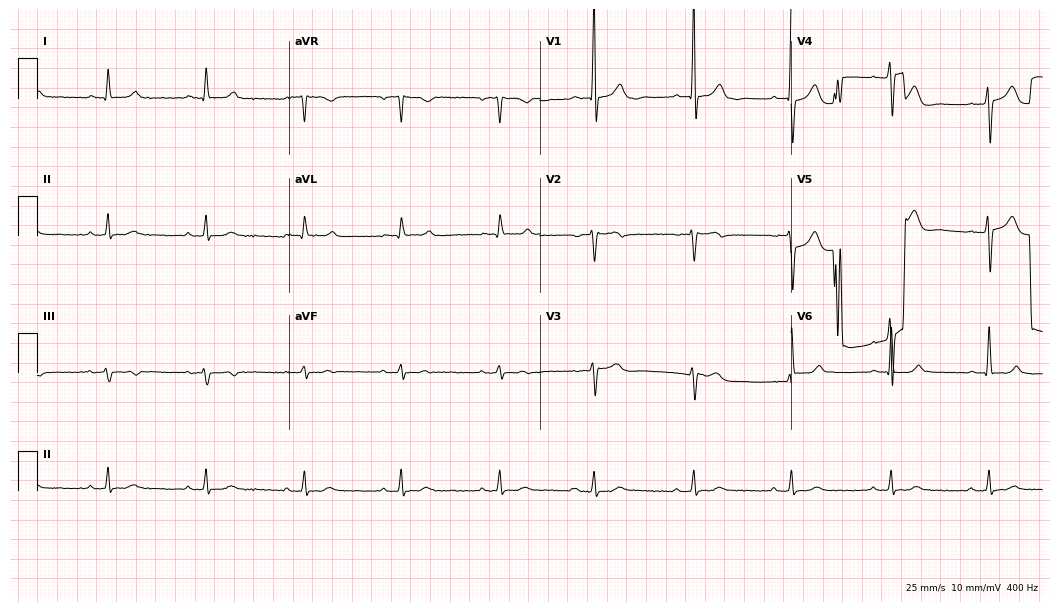
12-lead ECG from a male, 79 years old (10.2-second recording at 400 Hz). No first-degree AV block, right bundle branch block (RBBB), left bundle branch block (LBBB), sinus bradycardia, atrial fibrillation (AF) or sinus tachycardia recorded for this tracing. Only these six findings were labelled.